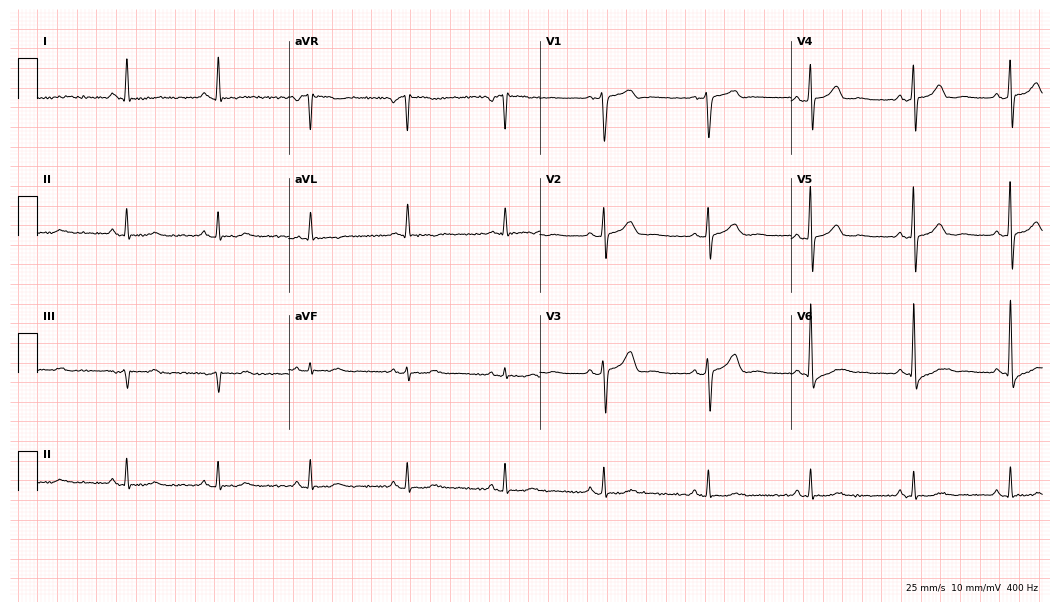
Standard 12-lead ECG recorded from a 53-year-old man. None of these six findings is recorded: first-degree AV block, right bundle branch block (RBBB), left bundle branch block (LBBB), sinus bradycardia, atrial fibrillation (AF), sinus tachycardia. Other findings, if any, are not listed.